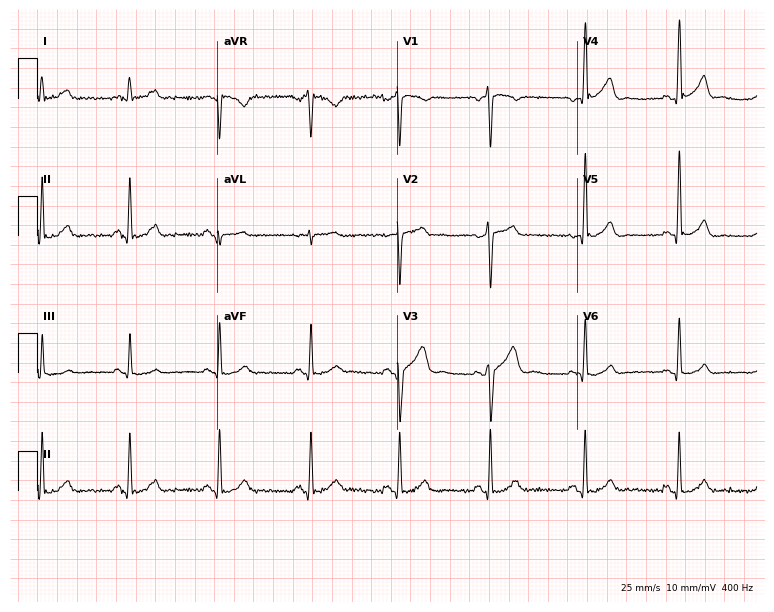
12-lead ECG (7.3-second recording at 400 Hz) from a male patient, 38 years old. Screened for six findings — first-degree AV block, right bundle branch block, left bundle branch block, sinus bradycardia, atrial fibrillation, sinus tachycardia — none is recorded.